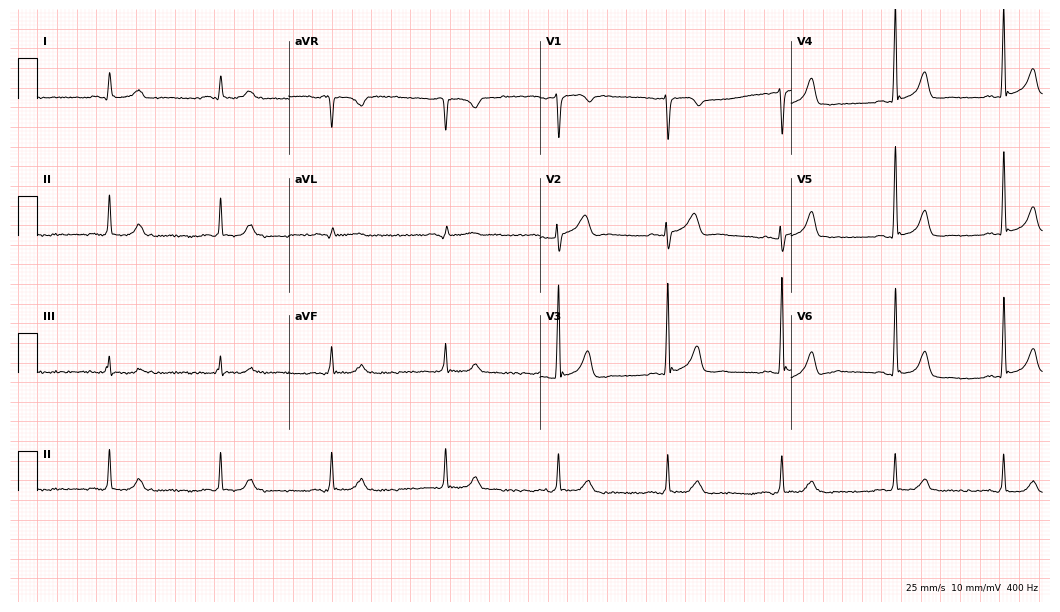
ECG — a 59-year-old male. Screened for six findings — first-degree AV block, right bundle branch block, left bundle branch block, sinus bradycardia, atrial fibrillation, sinus tachycardia — none is recorded. Findings outside these six are not listed.